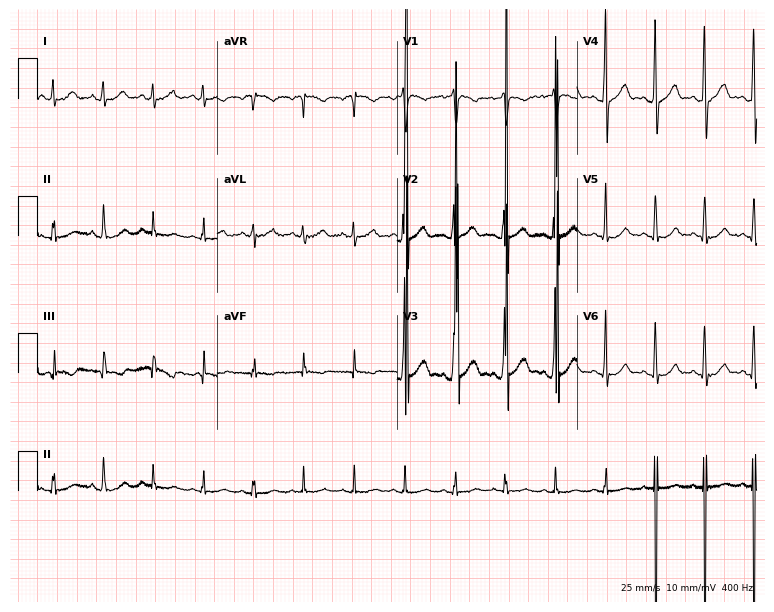
12-lead ECG from a male, 26 years old. No first-degree AV block, right bundle branch block, left bundle branch block, sinus bradycardia, atrial fibrillation or sinus tachycardia recorded for this tracing. Only these six findings were labelled.